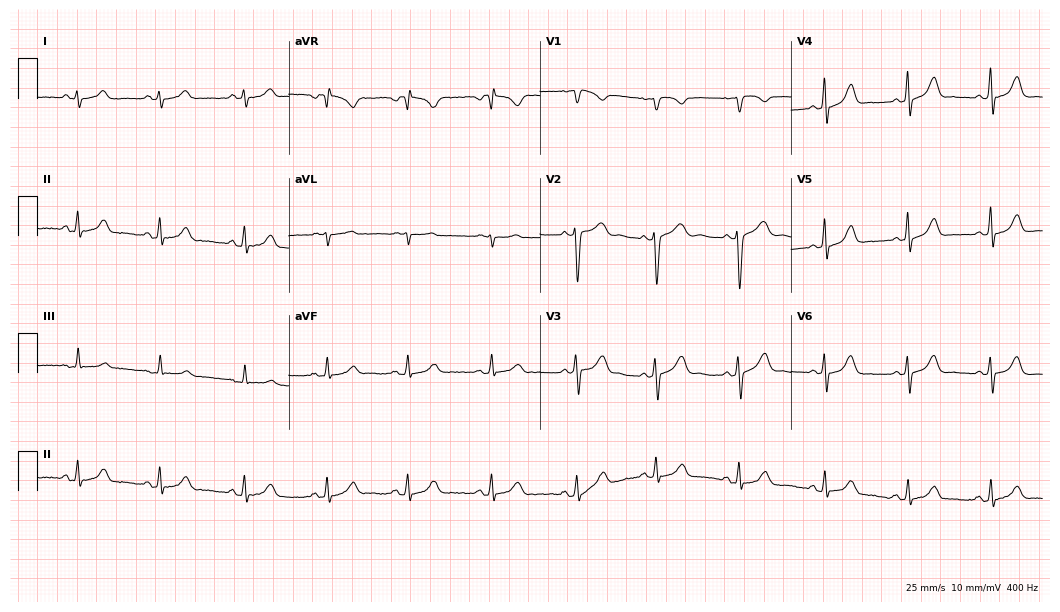
12-lead ECG (10.2-second recording at 400 Hz) from a 29-year-old female. Labelled as a normal ECG.